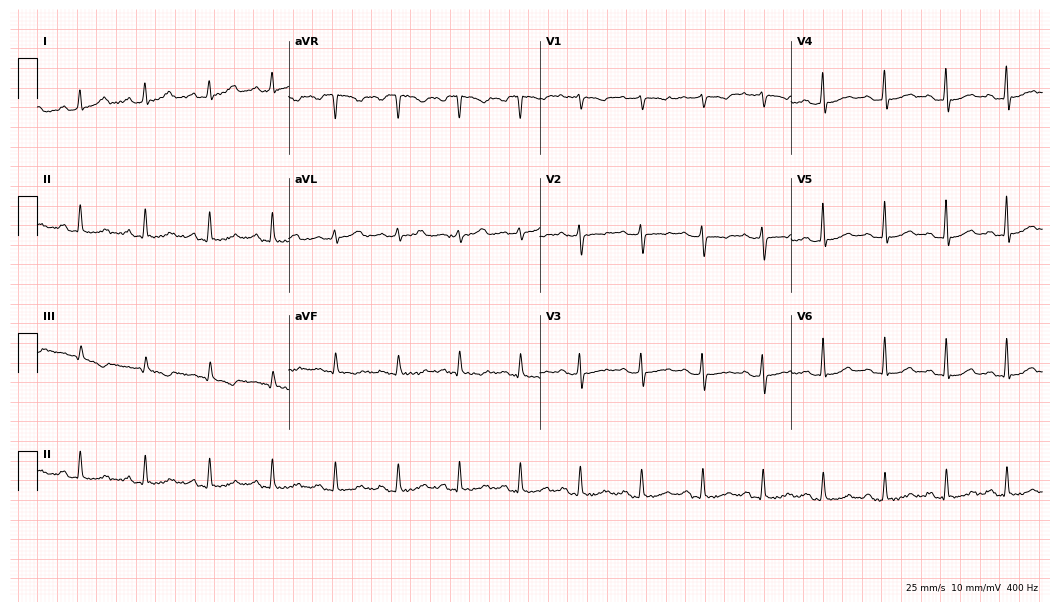
12-lead ECG from a female patient, 34 years old (10.2-second recording at 400 Hz). Recorded interpretation: within normal limits.